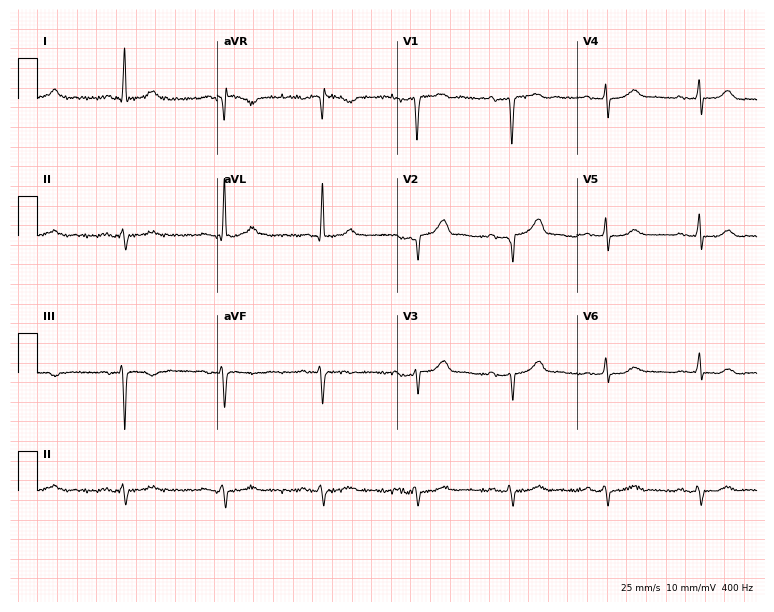
Standard 12-lead ECG recorded from a 64-year-old male (7.3-second recording at 400 Hz). None of these six findings is recorded: first-degree AV block, right bundle branch block (RBBB), left bundle branch block (LBBB), sinus bradycardia, atrial fibrillation (AF), sinus tachycardia.